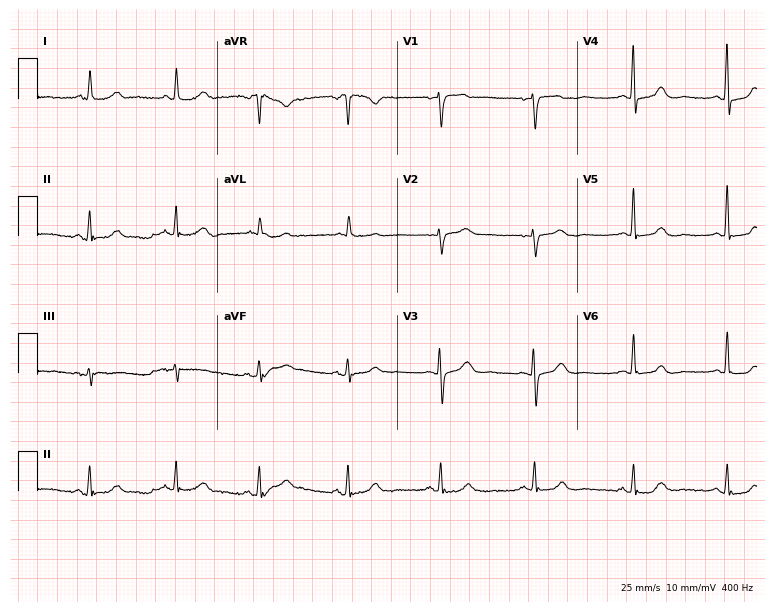
Resting 12-lead electrocardiogram (7.3-second recording at 400 Hz). Patient: a female, 60 years old. Read as a normal ECG.